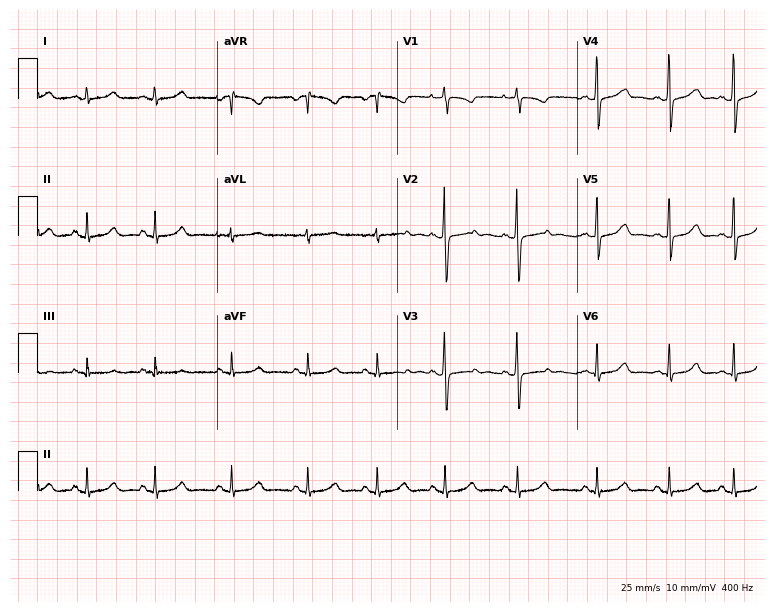
ECG — an 18-year-old female patient. Screened for six findings — first-degree AV block, right bundle branch block (RBBB), left bundle branch block (LBBB), sinus bradycardia, atrial fibrillation (AF), sinus tachycardia — none is recorded. Other findings, if any, are not listed.